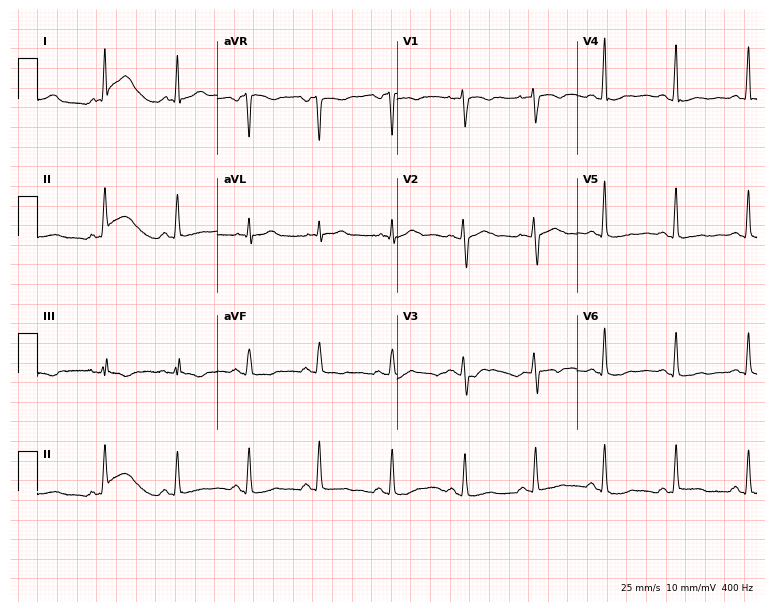
Resting 12-lead electrocardiogram. Patient: a female, 24 years old. None of these six findings is recorded: first-degree AV block, right bundle branch block, left bundle branch block, sinus bradycardia, atrial fibrillation, sinus tachycardia. Findings outside these six are not listed.